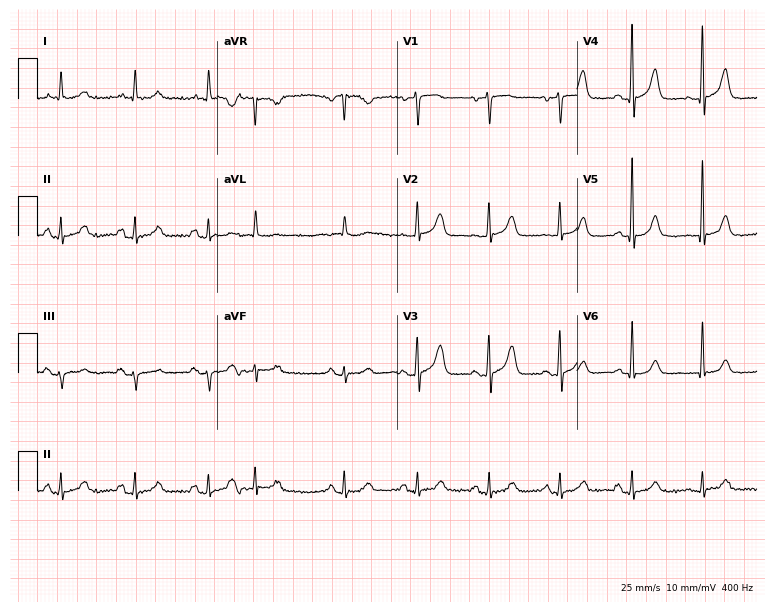
12-lead ECG (7.3-second recording at 400 Hz) from a 71-year-old woman. Screened for six findings — first-degree AV block, right bundle branch block, left bundle branch block, sinus bradycardia, atrial fibrillation, sinus tachycardia — none is recorded.